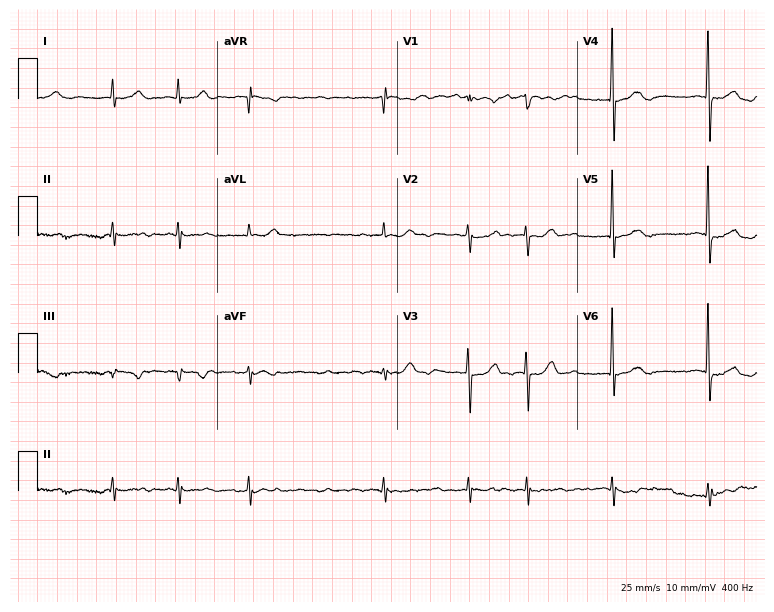
Electrocardiogram, a female, 19 years old. Interpretation includes atrial fibrillation.